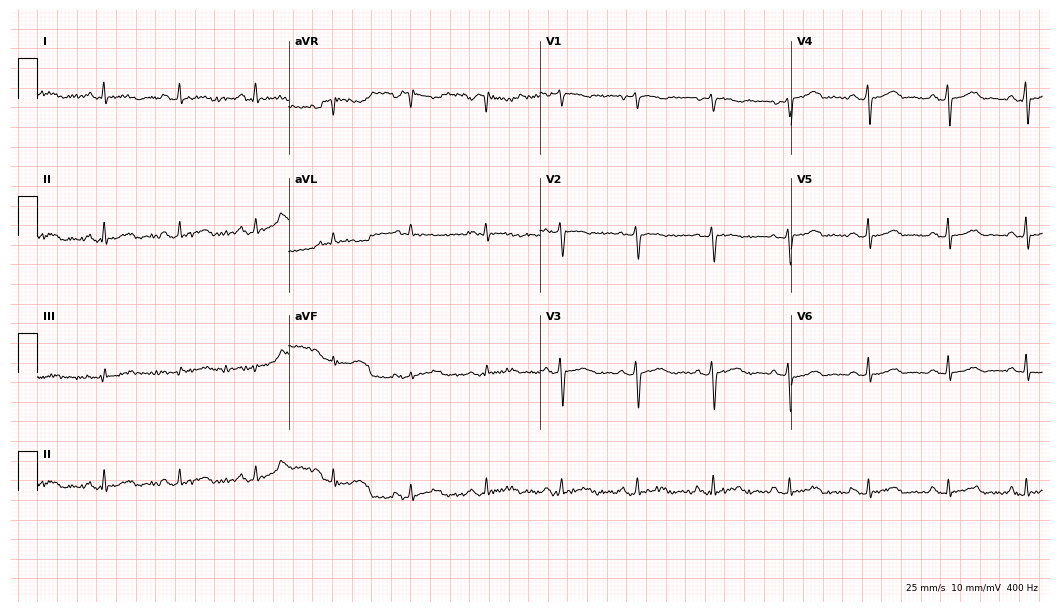
12-lead ECG from a woman, 35 years old. No first-degree AV block, right bundle branch block (RBBB), left bundle branch block (LBBB), sinus bradycardia, atrial fibrillation (AF) or sinus tachycardia recorded for this tracing. Other findings, if any, are not listed.